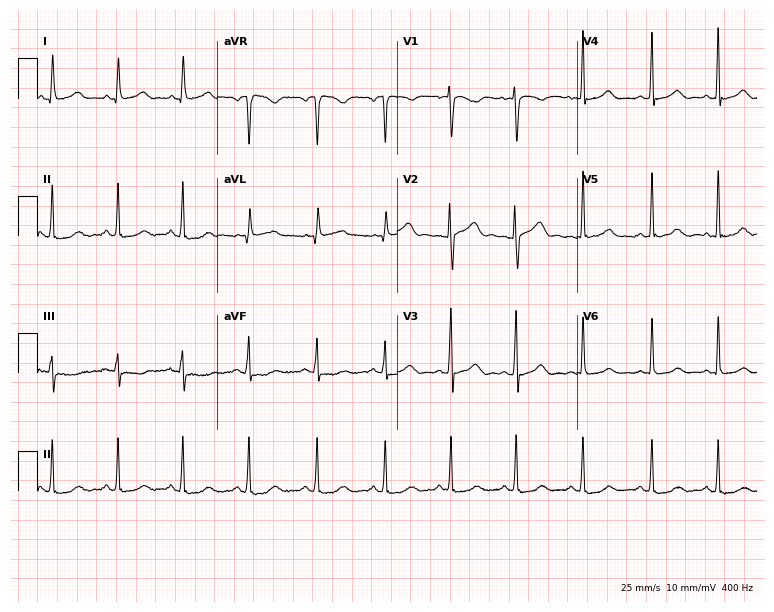
Resting 12-lead electrocardiogram. Patient: a 36-year-old female. Read as a normal ECG.